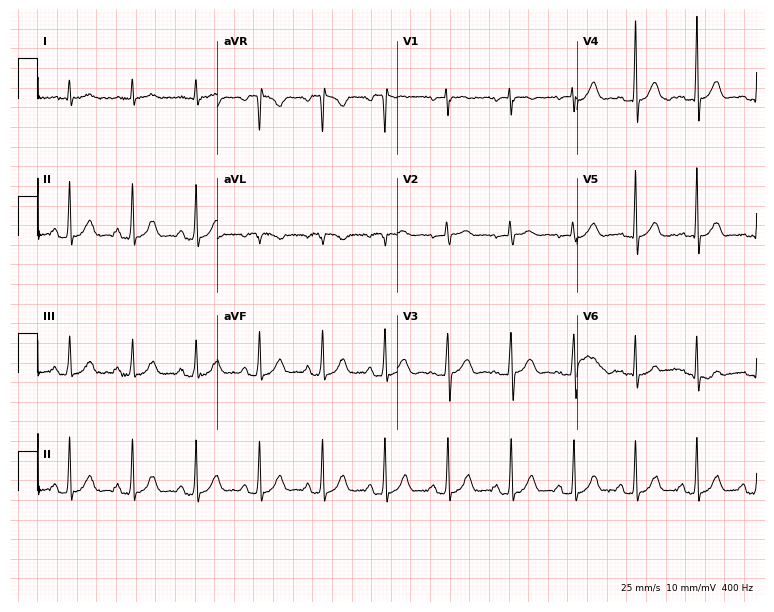
Resting 12-lead electrocardiogram. Patient: a 60-year-old male. Read as a normal ECG.